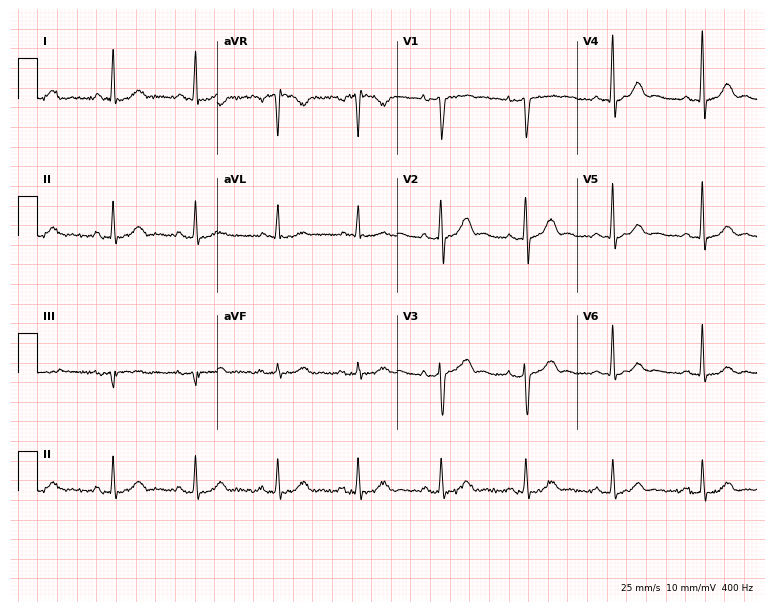
Standard 12-lead ECG recorded from a 51-year-old female (7.3-second recording at 400 Hz). None of these six findings is recorded: first-degree AV block, right bundle branch block (RBBB), left bundle branch block (LBBB), sinus bradycardia, atrial fibrillation (AF), sinus tachycardia.